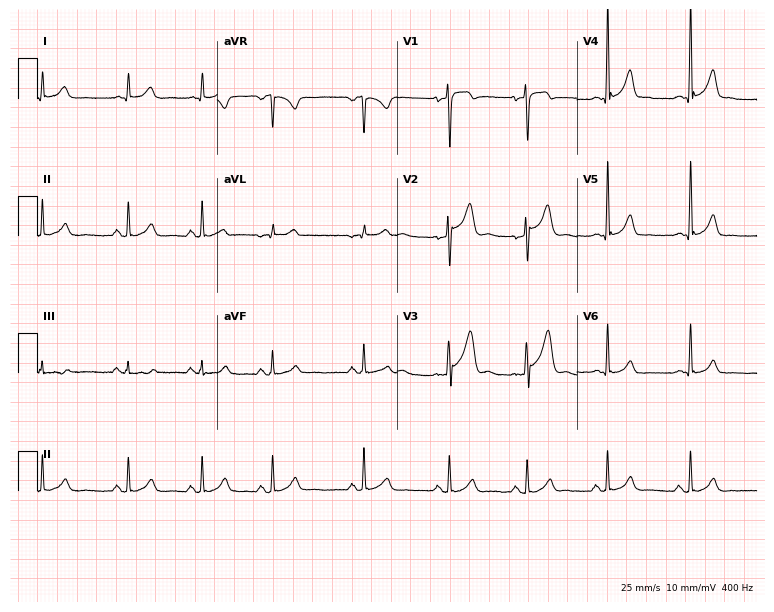
12-lead ECG from a 22-year-old male. Screened for six findings — first-degree AV block, right bundle branch block, left bundle branch block, sinus bradycardia, atrial fibrillation, sinus tachycardia — none is recorded.